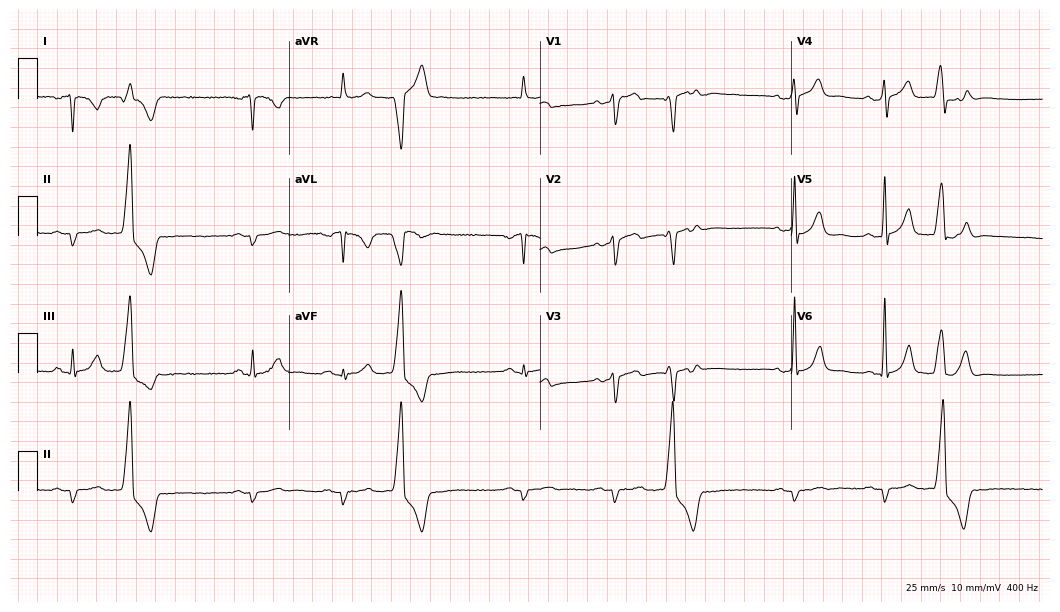
12-lead ECG from a male, 71 years old. No first-degree AV block, right bundle branch block (RBBB), left bundle branch block (LBBB), sinus bradycardia, atrial fibrillation (AF) or sinus tachycardia recorded for this tracing.